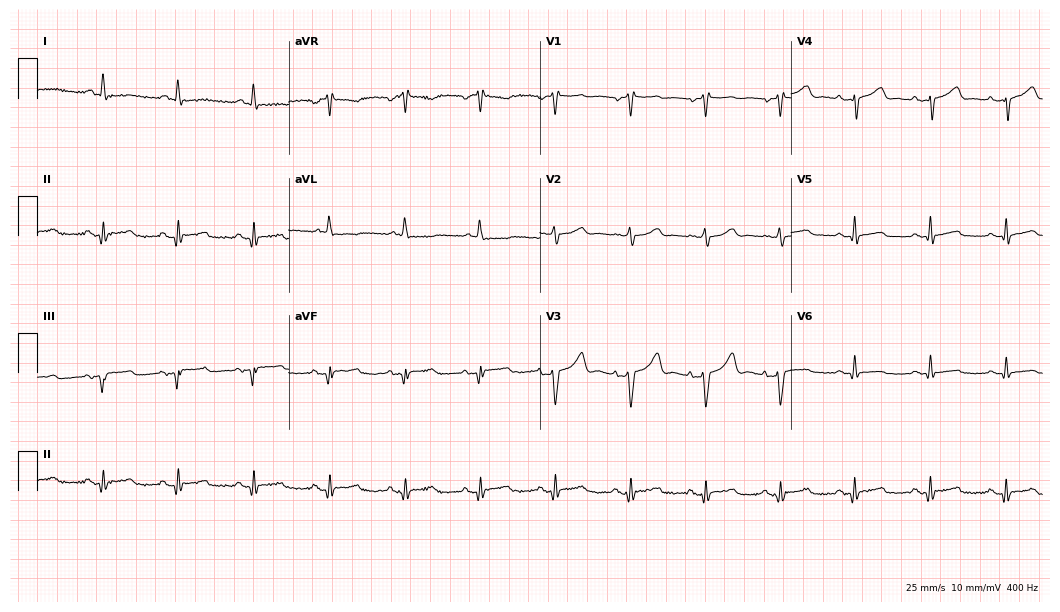
12-lead ECG from a 65-year-old female patient (10.2-second recording at 400 Hz). No first-degree AV block, right bundle branch block, left bundle branch block, sinus bradycardia, atrial fibrillation or sinus tachycardia recorded for this tracing.